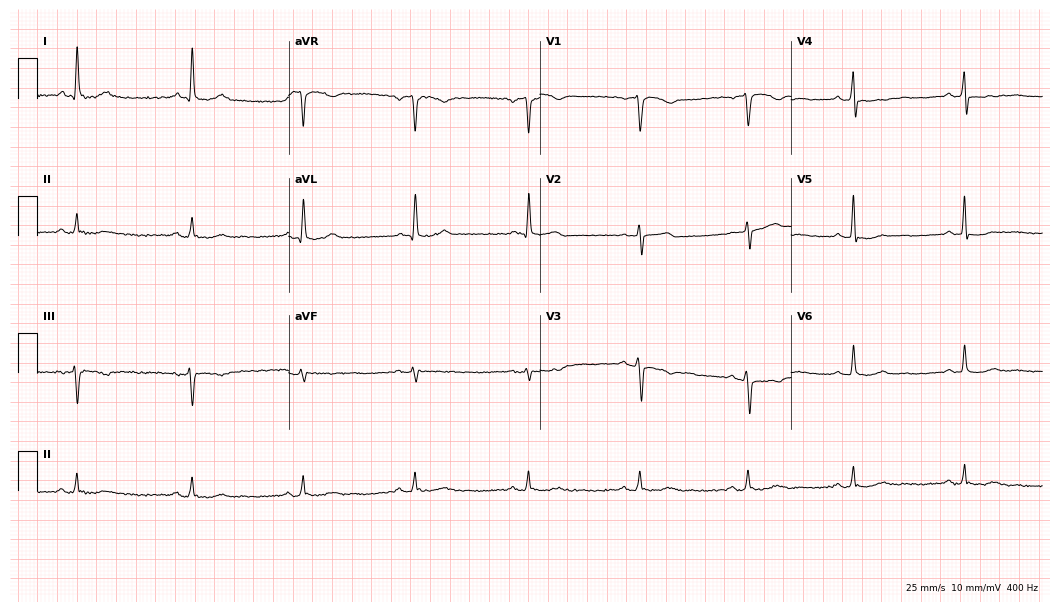
12-lead ECG from a 55-year-old man. Screened for six findings — first-degree AV block, right bundle branch block (RBBB), left bundle branch block (LBBB), sinus bradycardia, atrial fibrillation (AF), sinus tachycardia — none is recorded.